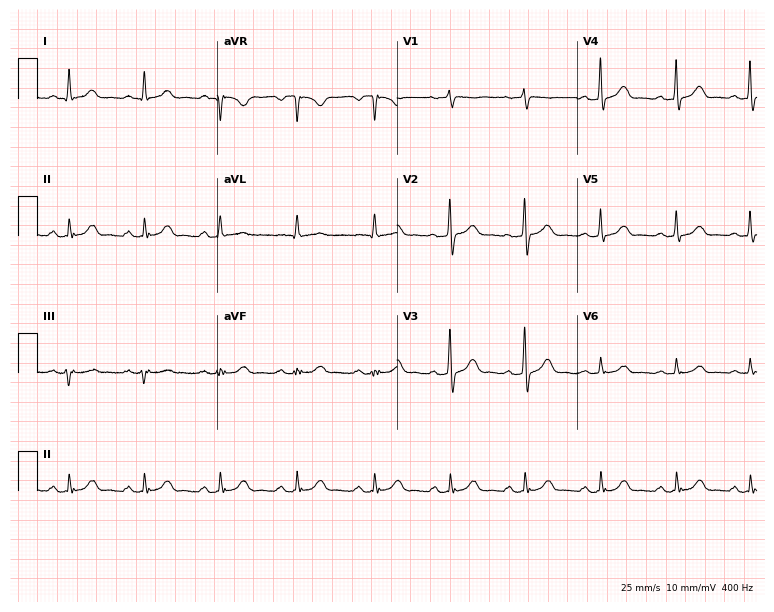
Electrocardiogram, a female patient, 67 years old. Of the six screened findings (first-degree AV block, right bundle branch block, left bundle branch block, sinus bradycardia, atrial fibrillation, sinus tachycardia), none is recorded. Findings outside these six are not listed.